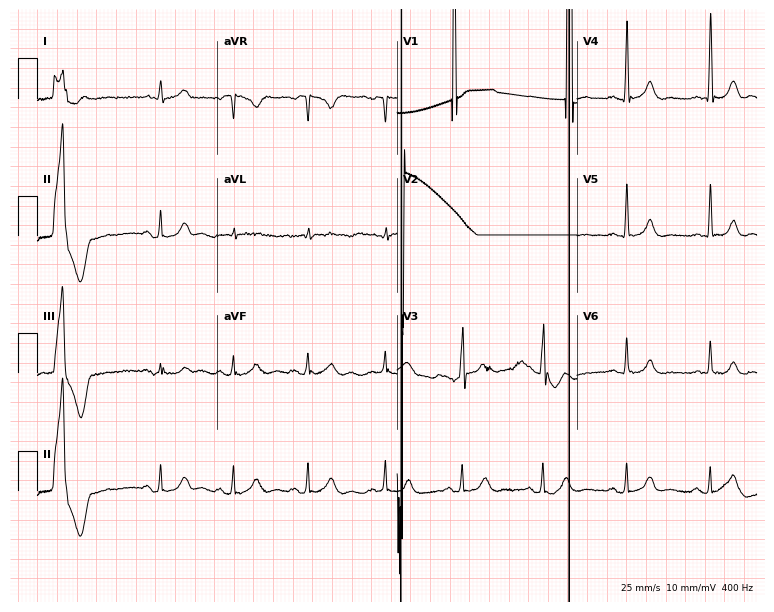
Standard 12-lead ECG recorded from a 26-year-old male (7.3-second recording at 400 Hz). None of these six findings is recorded: first-degree AV block, right bundle branch block, left bundle branch block, sinus bradycardia, atrial fibrillation, sinus tachycardia. Other findings, if any, are not listed.